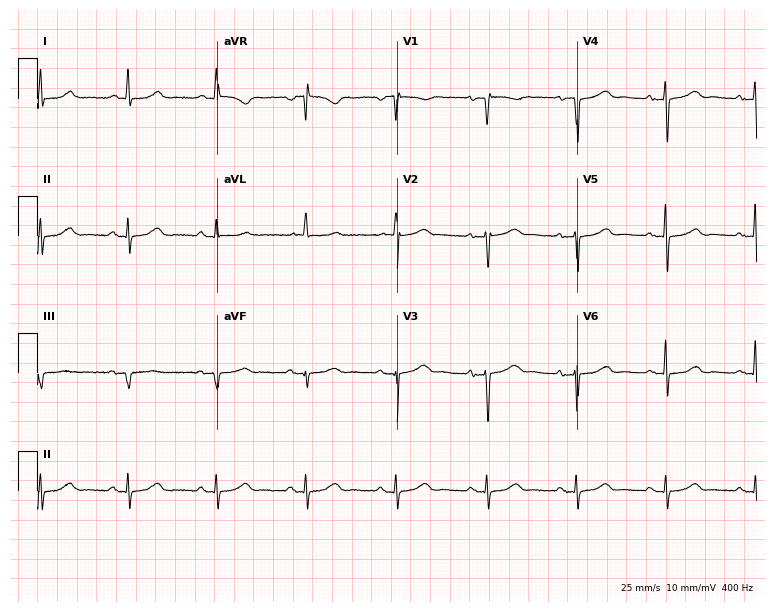
ECG (7.3-second recording at 400 Hz) — a female patient, 69 years old. Screened for six findings — first-degree AV block, right bundle branch block (RBBB), left bundle branch block (LBBB), sinus bradycardia, atrial fibrillation (AF), sinus tachycardia — none is recorded. Findings outside these six are not listed.